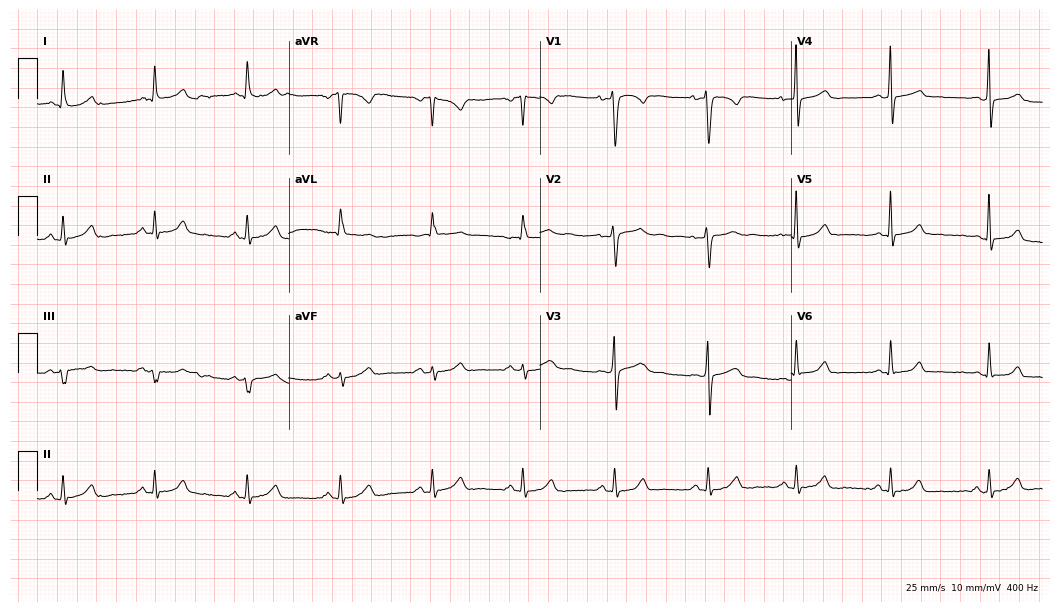
Electrocardiogram (10.2-second recording at 400 Hz), a 34-year-old female. Overall reading on record: normal ECG.